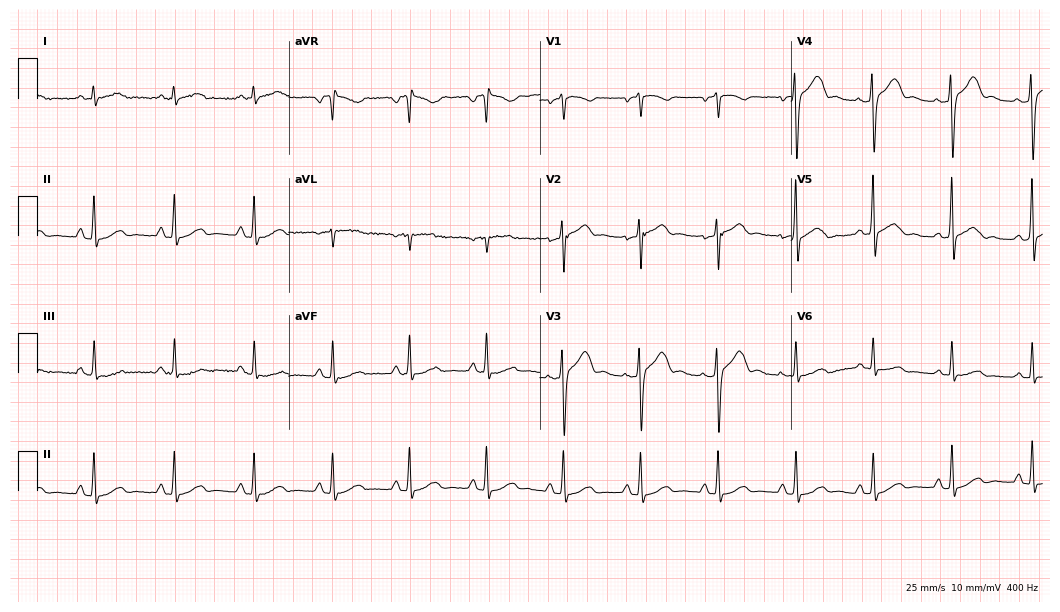
Resting 12-lead electrocardiogram (10.2-second recording at 400 Hz). Patient: a male, 48 years old. Read as a normal ECG.